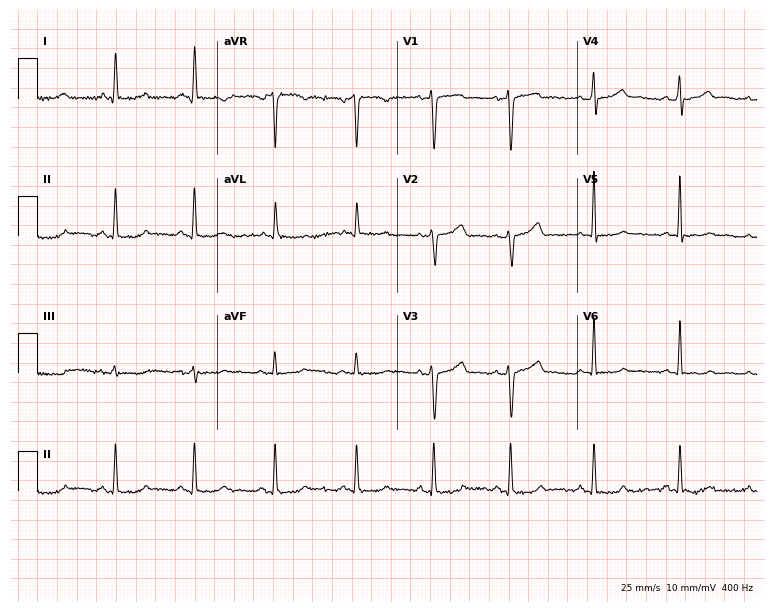
Resting 12-lead electrocardiogram (7.3-second recording at 400 Hz). Patient: a 42-year-old female. Read as a normal ECG.